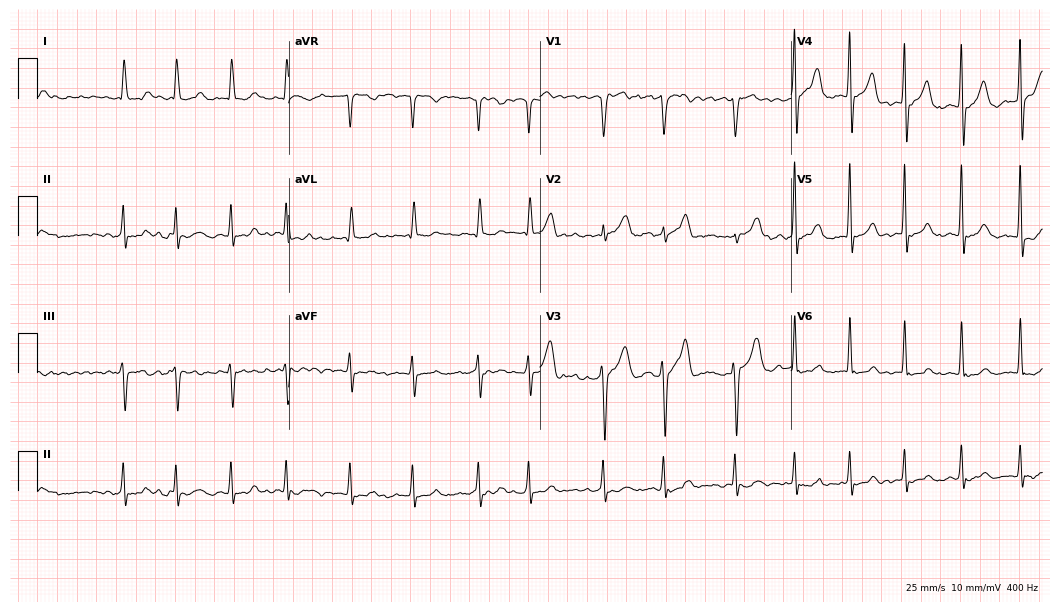
Electrocardiogram (10.2-second recording at 400 Hz), a man, 72 years old. Interpretation includes atrial fibrillation (AF).